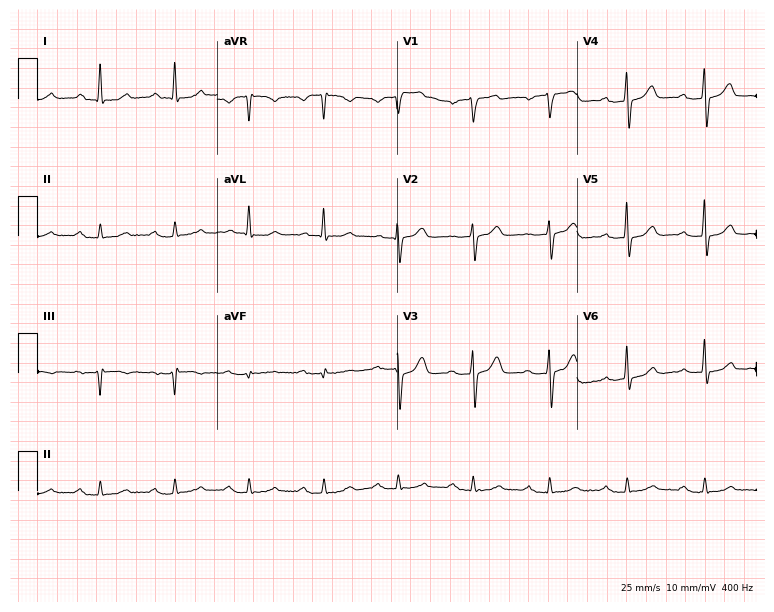
Electrocardiogram, a 78-year-old male patient. Interpretation includes first-degree AV block.